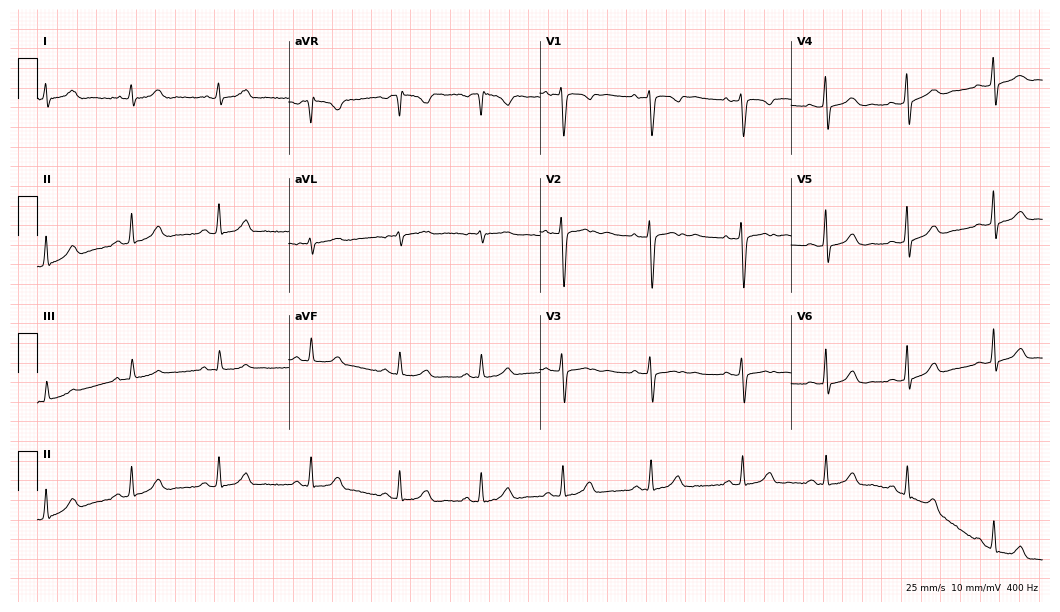
12-lead ECG from a 30-year-old female. Recorded interpretation: within normal limits.